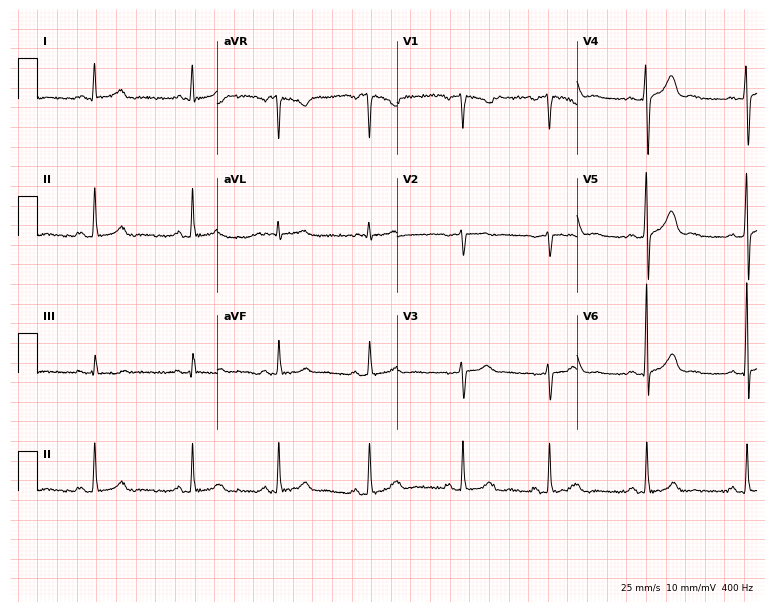
12-lead ECG from a 27-year-old female (7.3-second recording at 400 Hz). Recorded interpretation: within normal limits.